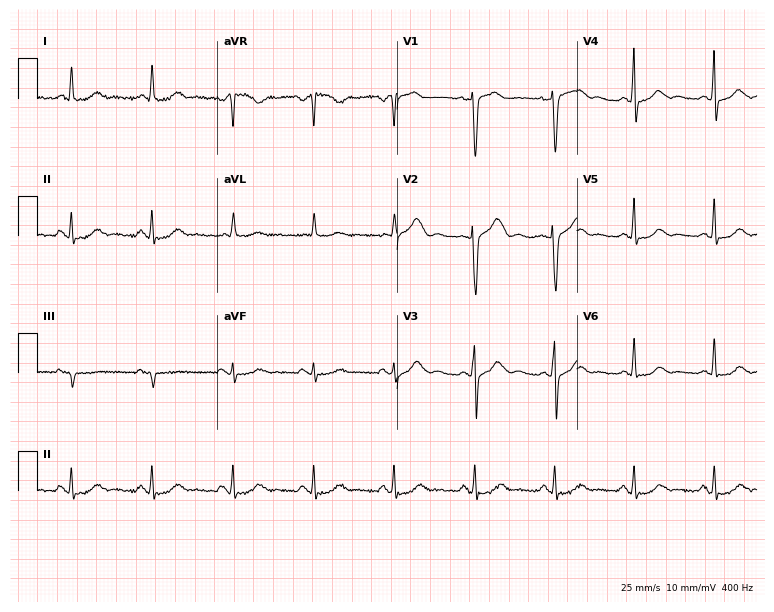
12-lead ECG from a 50-year-old woman. No first-degree AV block, right bundle branch block, left bundle branch block, sinus bradycardia, atrial fibrillation or sinus tachycardia recorded for this tracing.